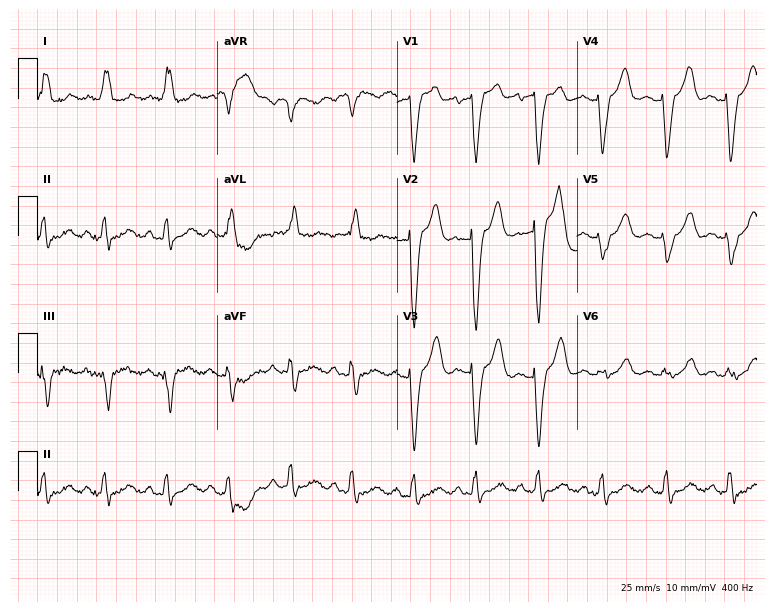
Standard 12-lead ECG recorded from a 78-year-old woman. The tracing shows left bundle branch block (LBBB).